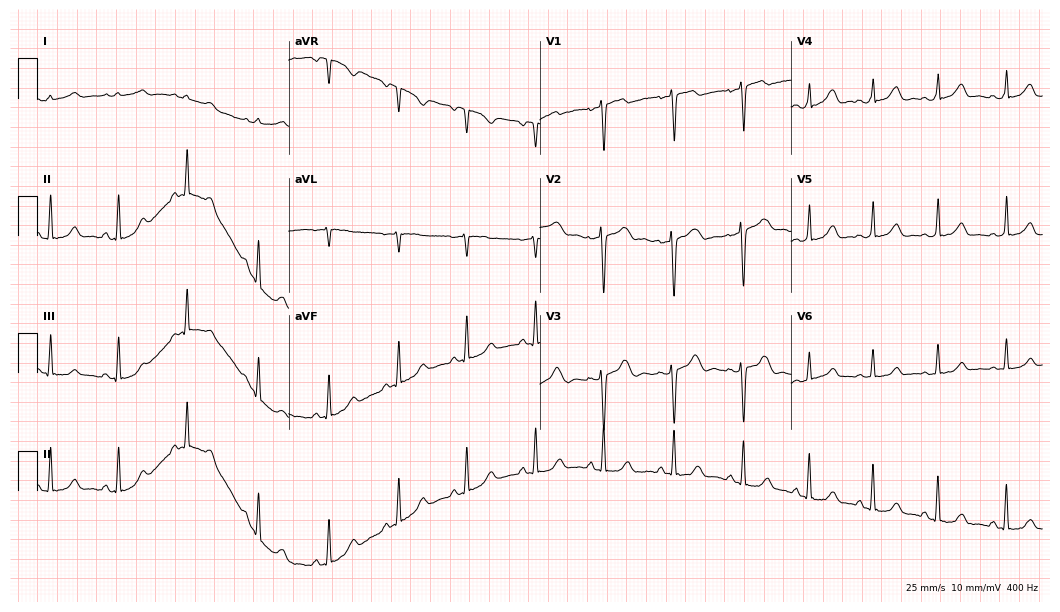
Standard 12-lead ECG recorded from a female patient, 24 years old (10.2-second recording at 400 Hz). Read as a normal ECG.